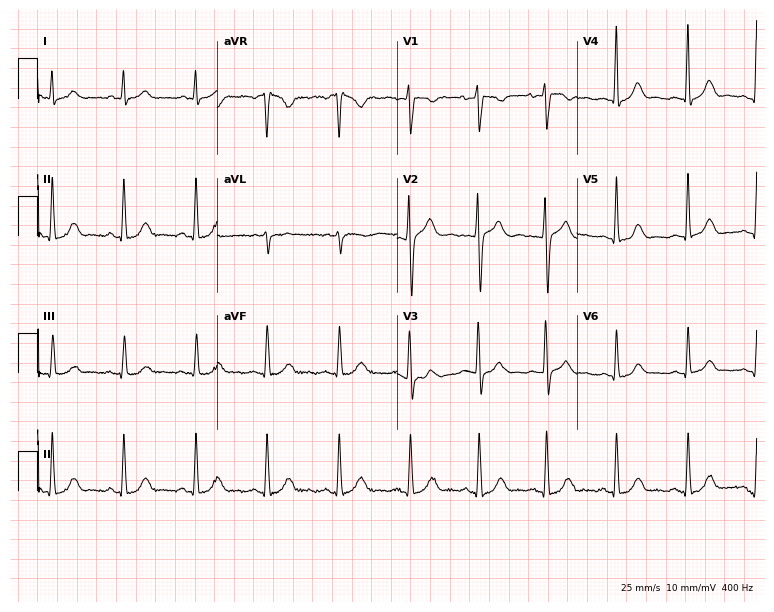
Standard 12-lead ECG recorded from a 25-year-old female (7.3-second recording at 400 Hz). Read as a normal ECG.